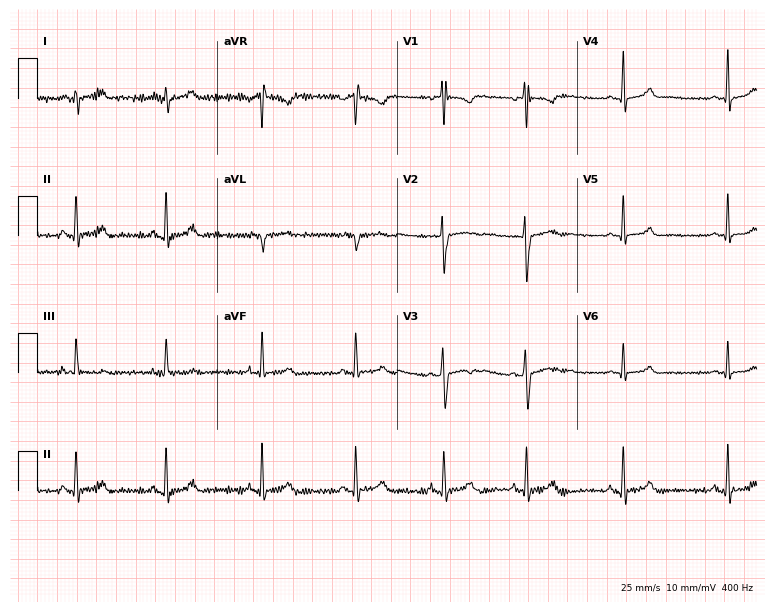
Electrocardiogram (7.3-second recording at 400 Hz), a woman, 19 years old. Overall reading on record: normal ECG.